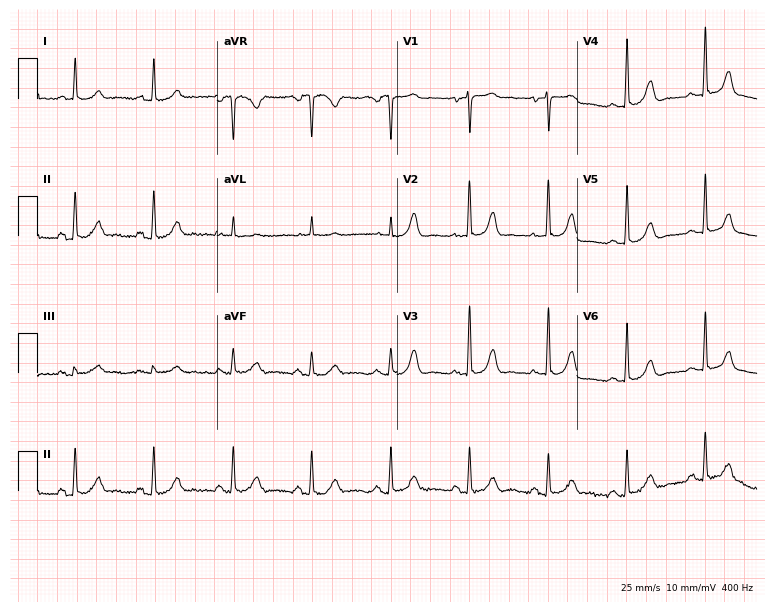
Resting 12-lead electrocardiogram (7.3-second recording at 400 Hz). Patient: a female, 70 years old. Read as a normal ECG.